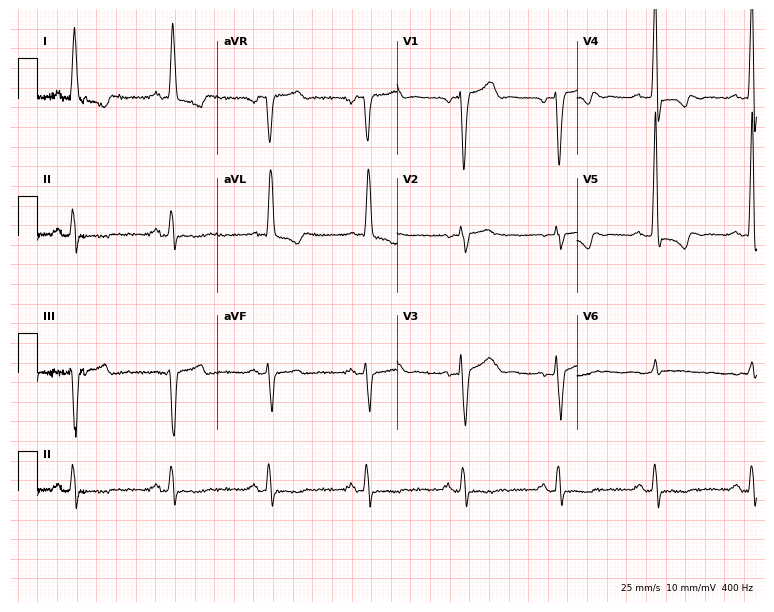
12-lead ECG from a 78-year-old male. No first-degree AV block, right bundle branch block, left bundle branch block, sinus bradycardia, atrial fibrillation or sinus tachycardia recorded for this tracing. Only these six findings were labelled.